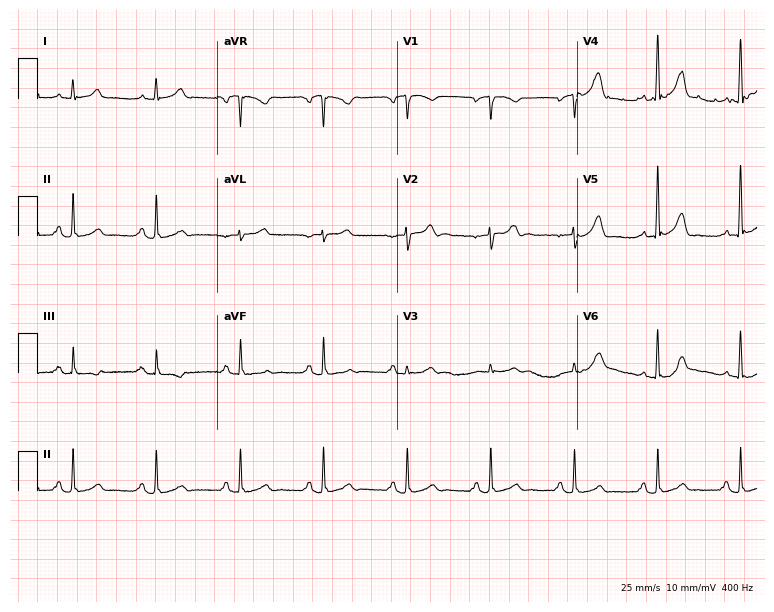
Electrocardiogram (7.3-second recording at 400 Hz), a male patient, 75 years old. Of the six screened findings (first-degree AV block, right bundle branch block, left bundle branch block, sinus bradycardia, atrial fibrillation, sinus tachycardia), none is recorded.